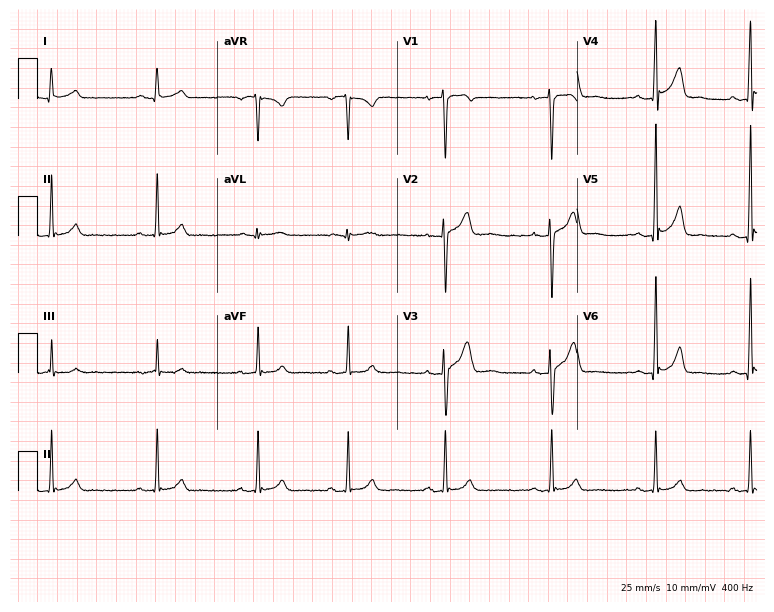
Electrocardiogram (7.3-second recording at 400 Hz), a male, 24 years old. Overall reading on record: normal ECG.